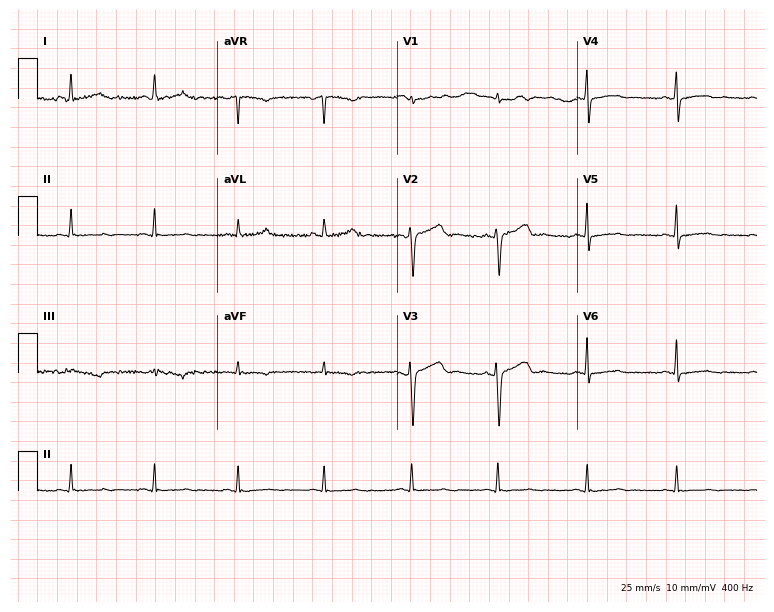
Electrocardiogram (7.3-second recording at 400 Hz), a female patient, 48 years old. Of the six screened findings (first-degree AV block, right bundle branch block, left bundle branch block, sinus bradycardia, atrial fibrillation, sinus tachycardia), none is recorded.